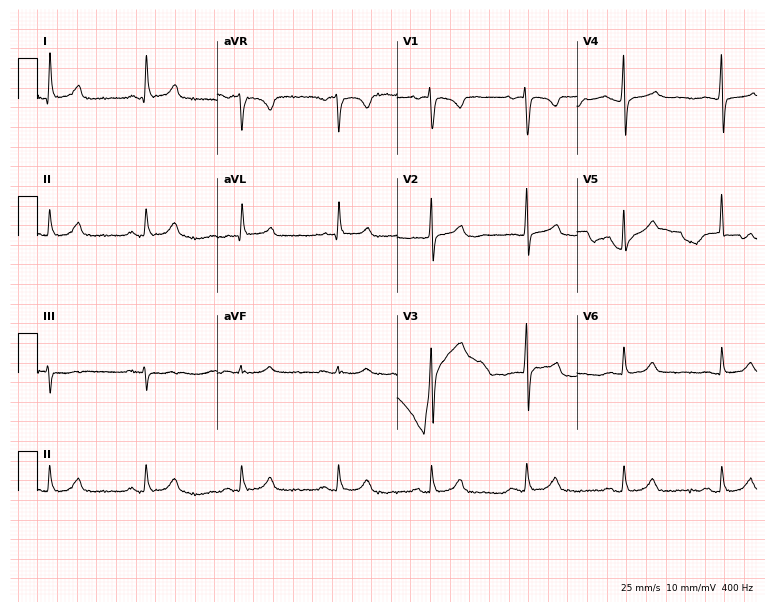
12-lead ECG from a woman, 56 years old. Recorded interpretation: within normal limits.